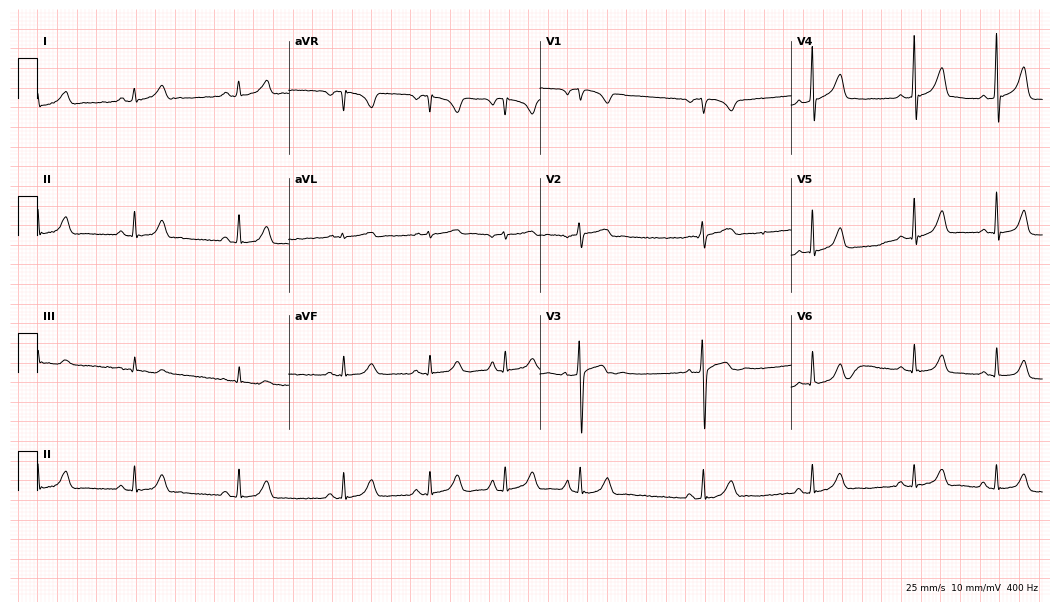
12-lead ECG from a 30-year-old woman. Recorded interpretation: within normal limits.